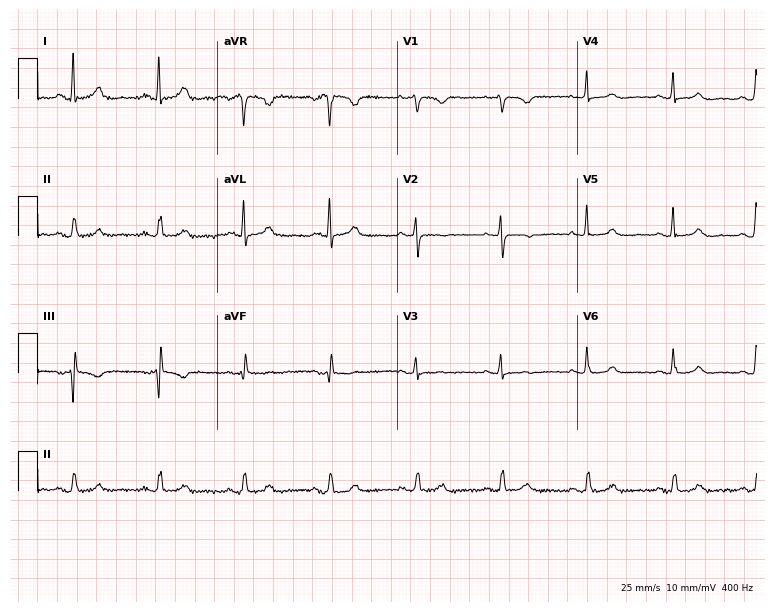
Standard 12-lead ECG recorded from a 58-year-old female patient. None of these six findings is recorded: first-degree AV block, right bundle branch block, left bundle branch block, sinus bradycardia, atrial fibrillation, sinus tachycardia. Only these six findings were labelled.